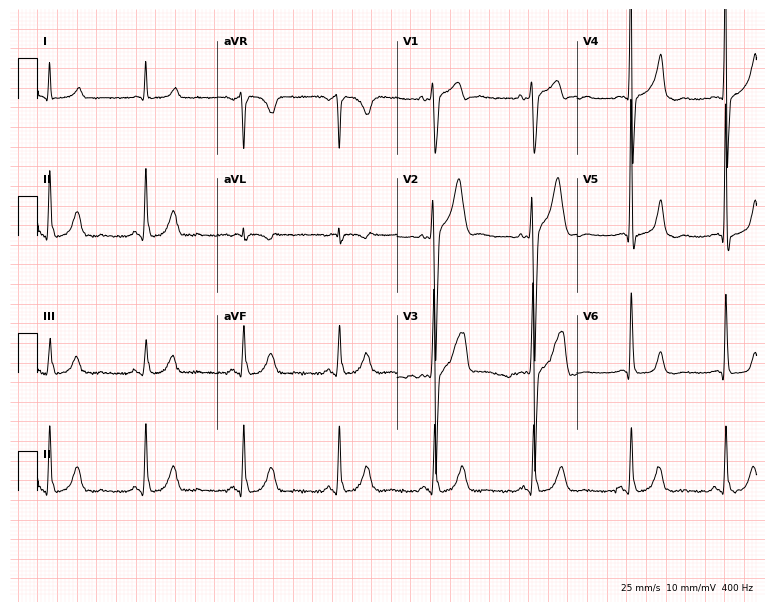
Resting 12-lead electrocardiogram (7.3-second recording at 400 Hz). Patient: a 22-year-old male. None of these six findings is recorded: first-degree AV block, right bundle branch block, left bundle branch block, sinus bradycardia, atrial fibrillation, sinus tachycardia.